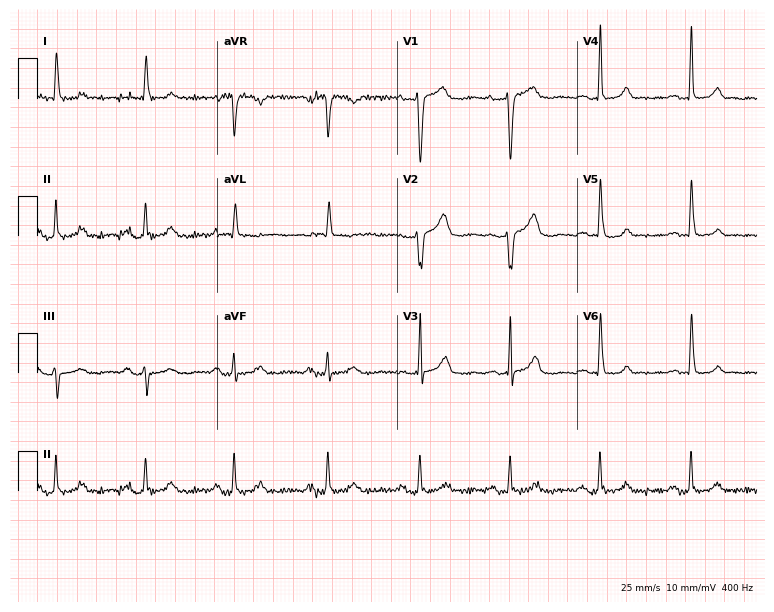
ECG — a 78-year-old woman. Findings include first-degree AV block.